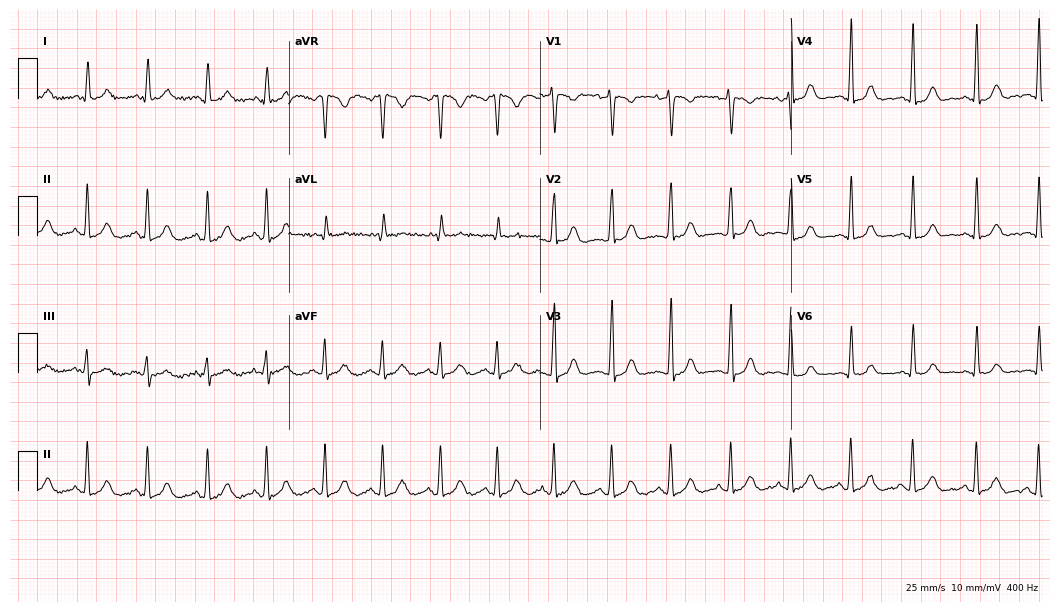
ECG (10.2-second recording at 400 Hz) — a 23-year-old woman. Findings include sinus tachycardia (a sinus rate of 100 beats per minute or more).